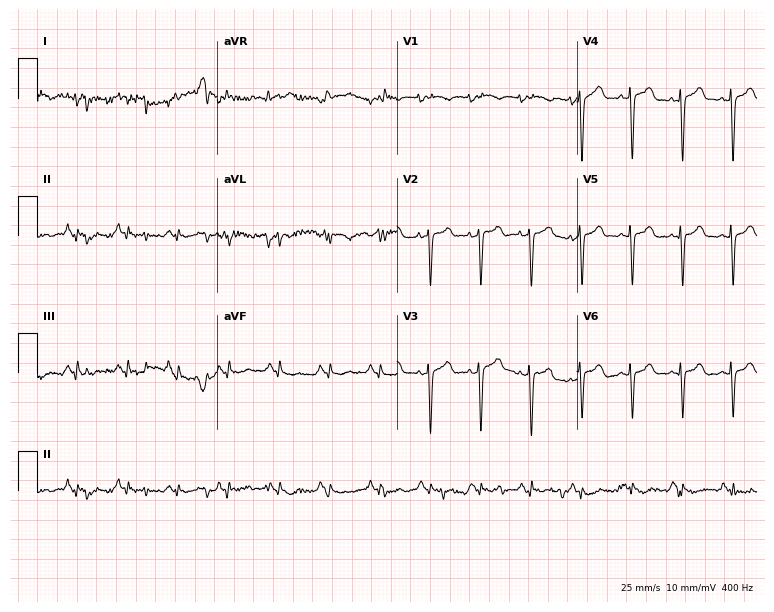
Standard 12-lead ECG recorded from a female, 76 years old. None of these six findings is recorded: first-degree AV block, right bundle branch block (RBBB), left bundle branch block (LBBB), sinus bradycardia, atrial fibrillation (AF), sinus tachycardia.